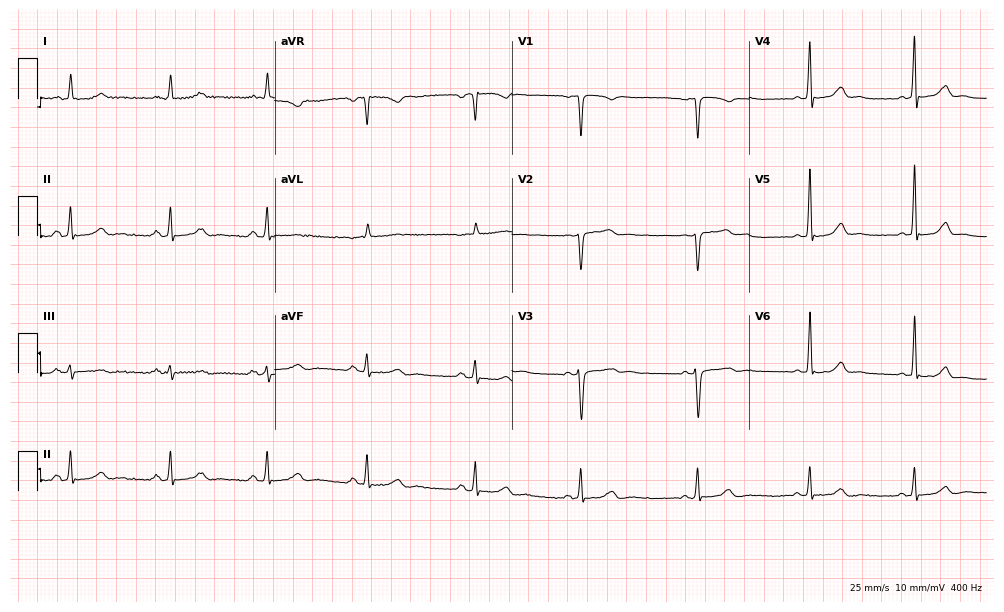
Resting 12-lead electrocardiogram (9.7-second recording at 400 Hz). Patient: a 52-year-old woman. Read as a normal ECG.